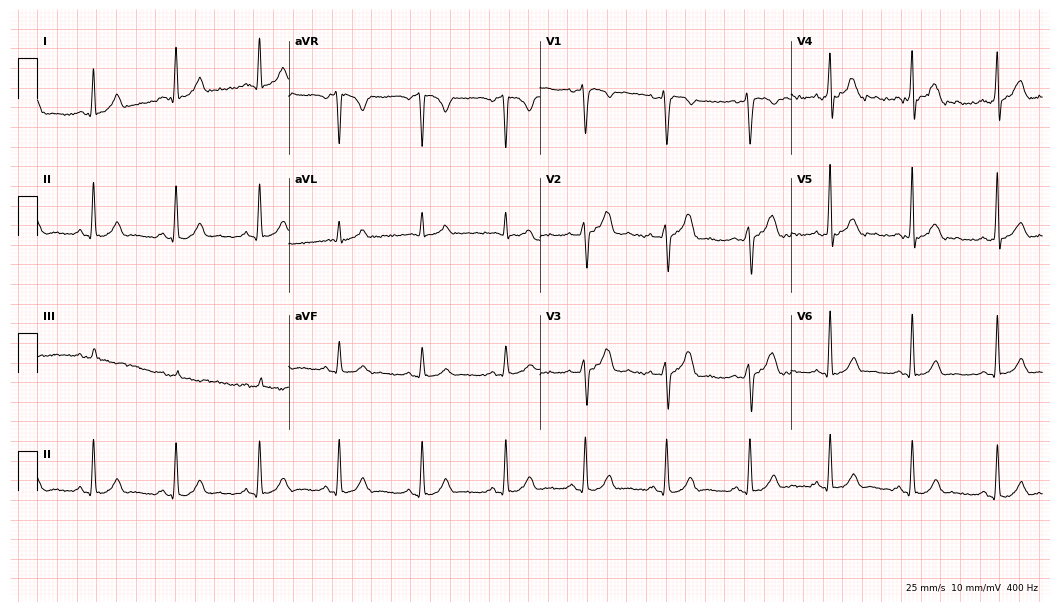
Resting 12-lead electrocardiogram (10.2-second recording at 400 Hz). Patient: a 32-year-old male. Read as a normal ECG.